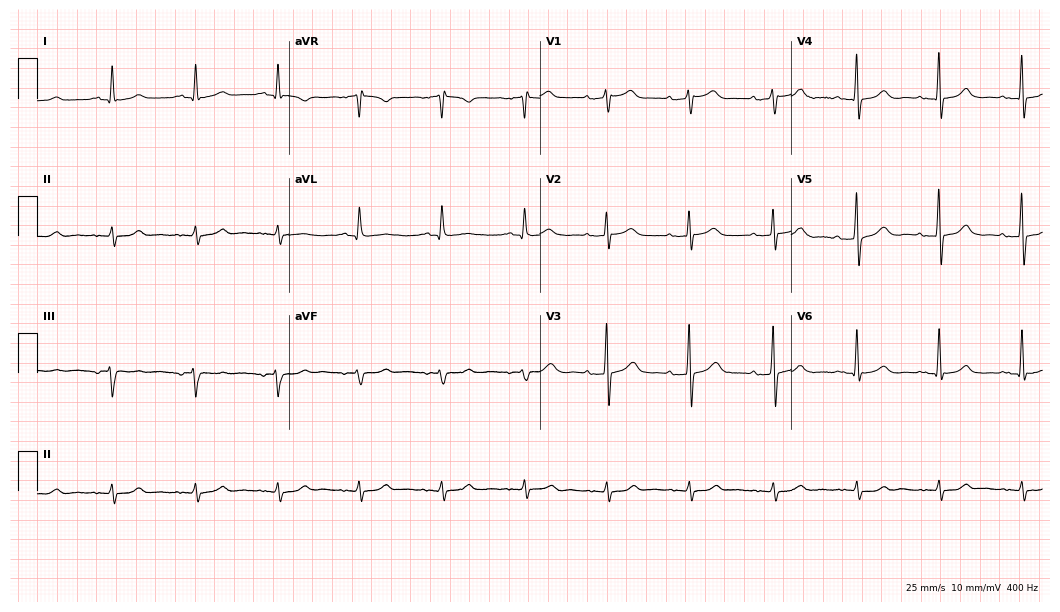
Electrocardiogram, a male, 81 years old. Overall reading on record: normal ECG.